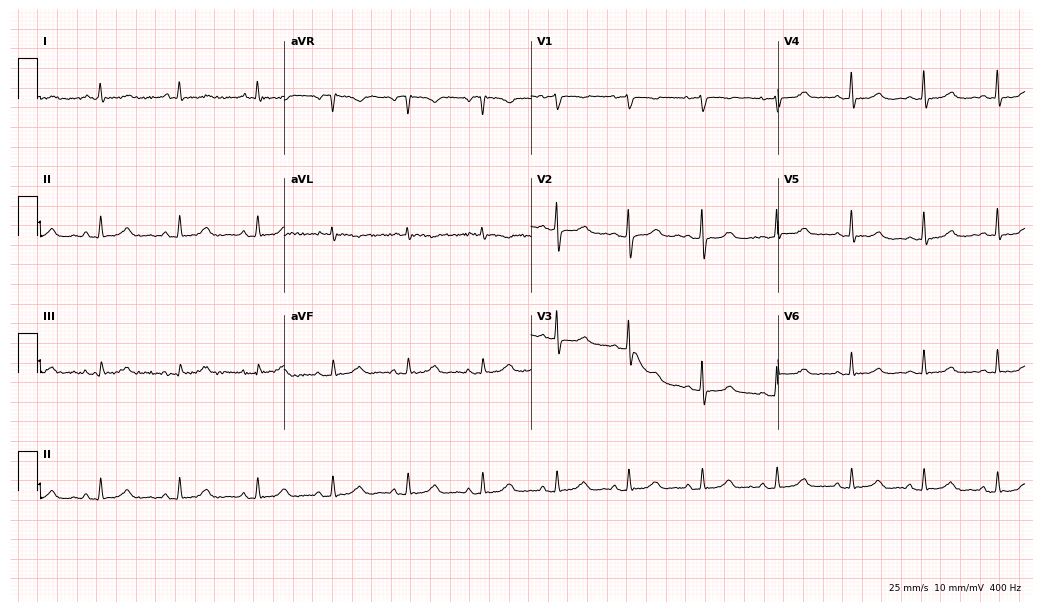
ECG (10.1-second recording at 400 Hz) — a female, 56 years old. Screened for six findings — first-degree AV block, right bundle branch block (RBBB), left bundle branch block (LBBB), sinus bradycardia, atrial fibrillation (AF), sinus tachycardia — none is recorded.